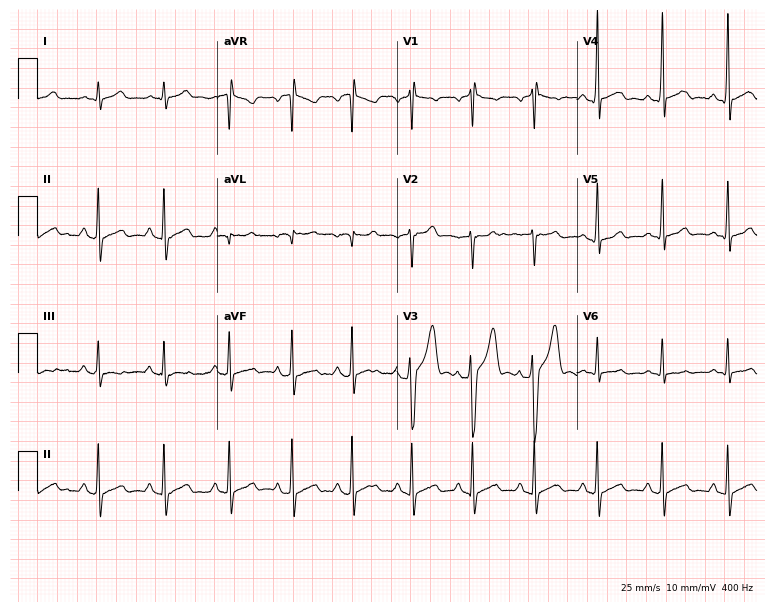
ECG — a 22-year-old male patient. Labelled as a normal ECG.